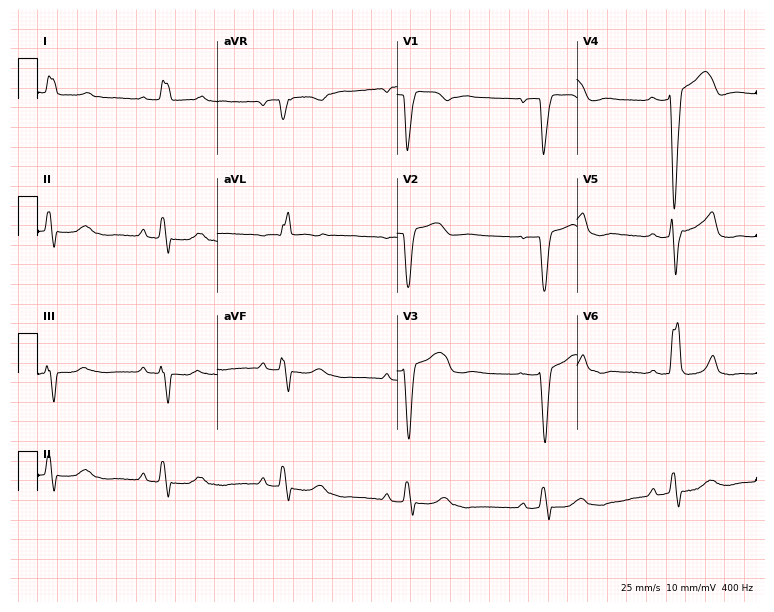
Resting 12-lead electrocardiogram. Patient: a man, 70 years old. The tracing shows left bundle branch block, sinus bradycardia (a sinus rate of 50 beats per minute or less).